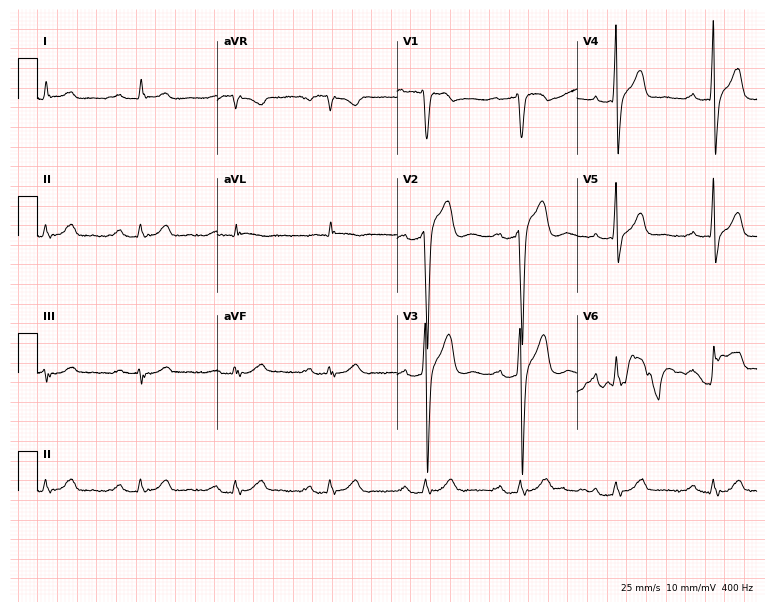
Electrocardiogram (7.3-second recording at 400 Hz), a 54-year-old male. Interpretation includes first-degree AV block.